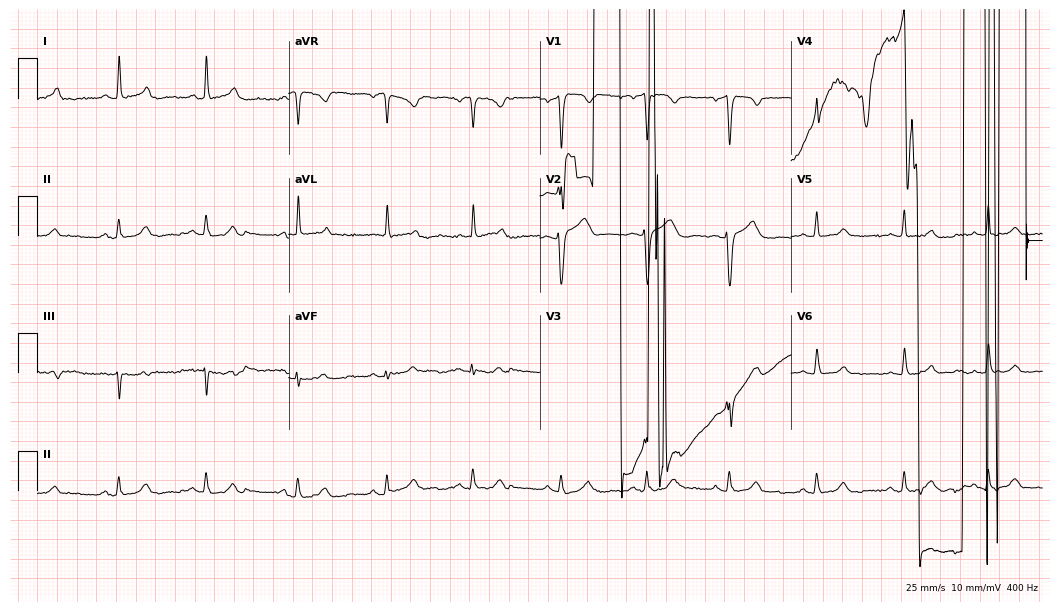
ECG — a female patient, 49 years old. Screened for six findings — first-degree AV block, right bundle branch block (RBBB), left bundle branch block (LBBB), sinus bradycardia, atrial fibrillation (AF), sinus tachycardia — none is recorded.